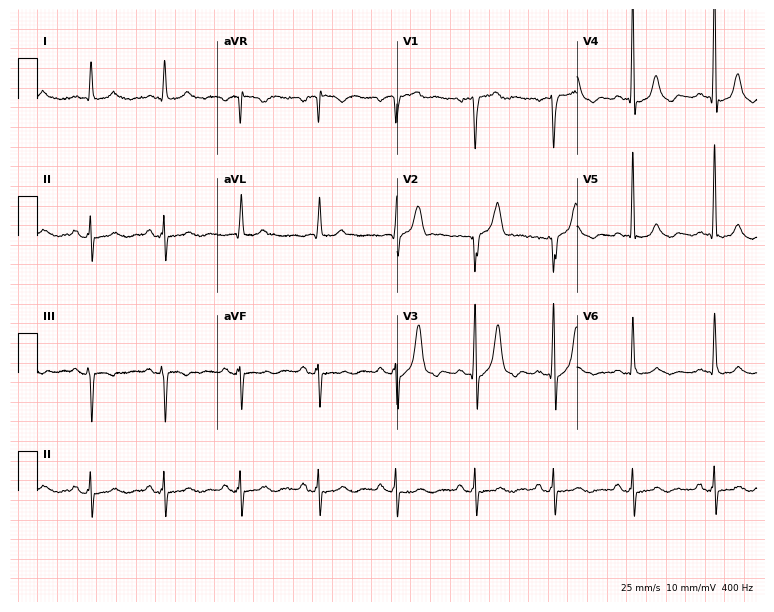
12-lead ECG from a male patient, 72 years old. No first-degree AV block, right bundle branch block, left bundle branch block, sinus bradycardia, atrial fibrillation or sinus tachycardia recorded for this tracing.